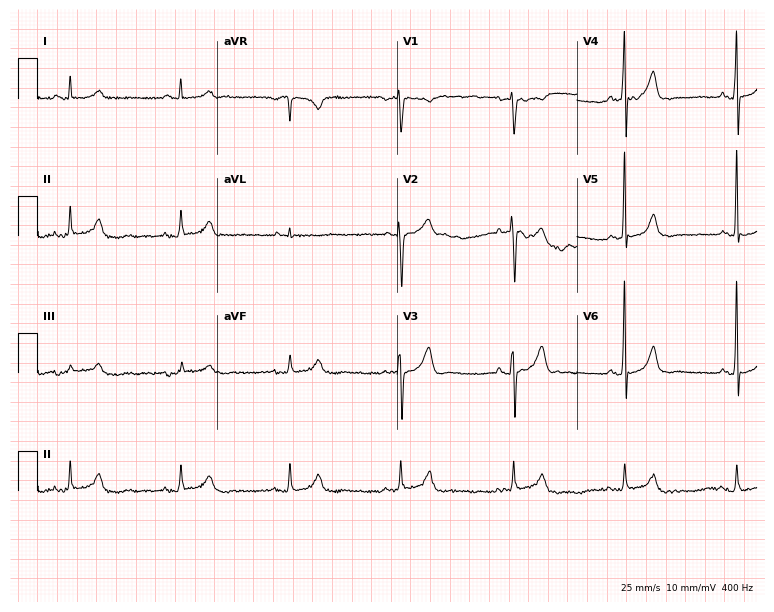
Standard 12-lead ECG recorded from an 82-year-old male patient (7.3-second recording at 400 Hz). None of these six findings is recorded: first-degree AV block, right bundle branch block, left bundle branch block, sinus bradycardia, atrial fibrillation, sinus tachycardia. Findings outside these six are not listed.